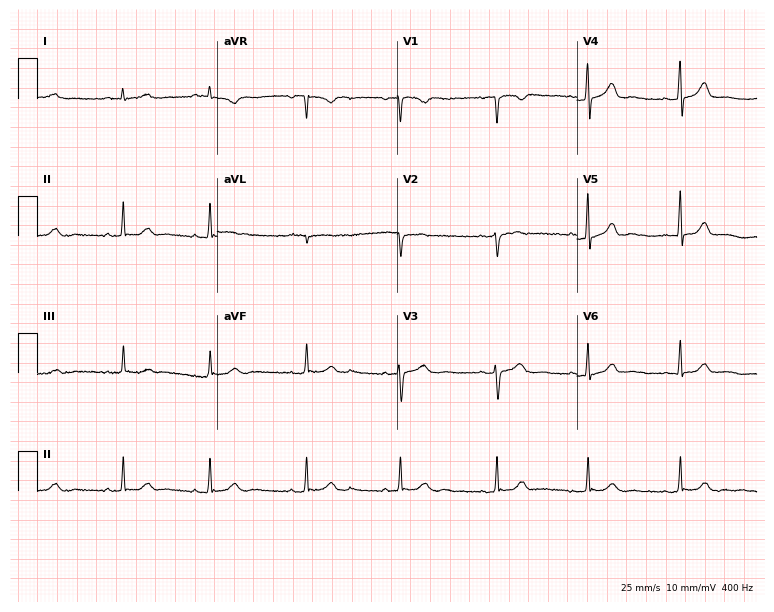
ECG — a 22-year-old female patient. Screened for six findings — first-degree AV block, right bundle branch block, left bundle branch block, sinus bradycardia, atrial fibrillation, sinus tachycardia — none is recorded.